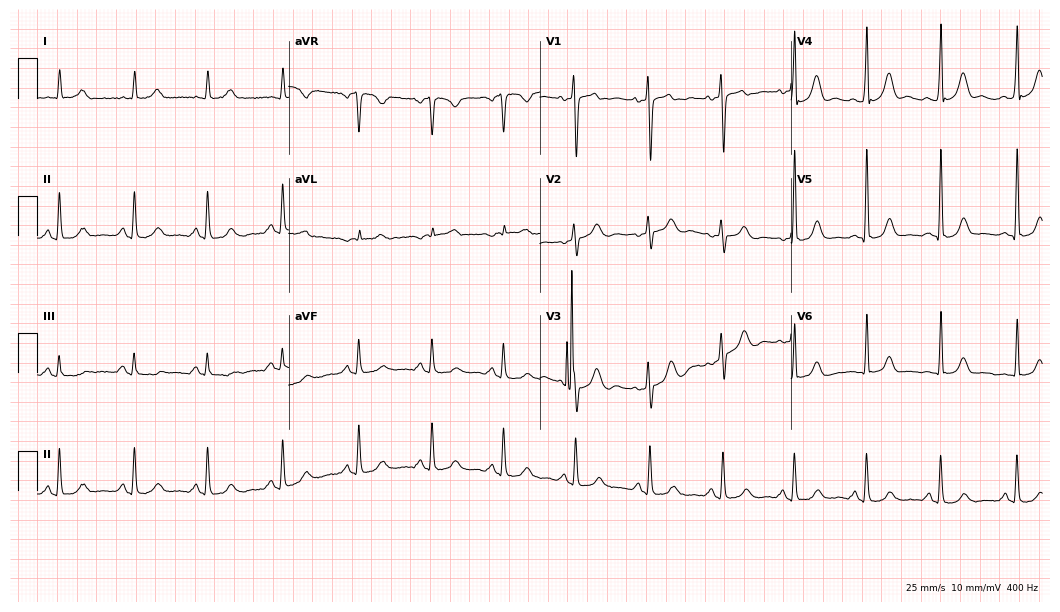
Standard 12-lead ECG recorded from a 49-year-old man (10.2-second recording at 400 Hz). Read as a normal ECG.